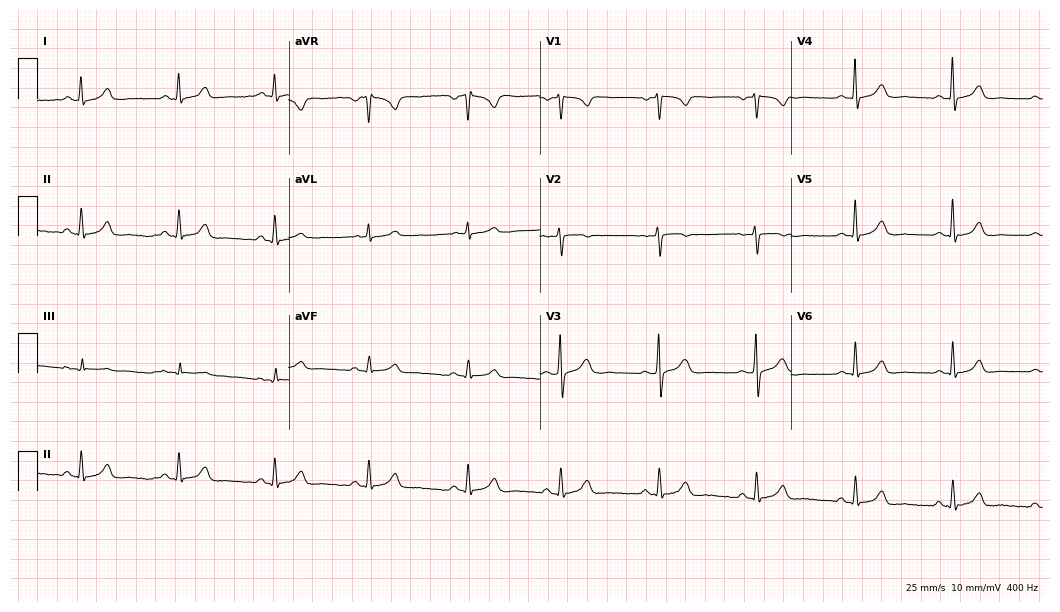
Standard 12-lead ECG recorded from a female patient, 39 years old. None of these six findings is recorded: first-degree AV block, right bundle branch block, left bundle branch block, sinus bradycardia, atrial fibrillation, sinus tachycardia. Only these six findings were labelled.